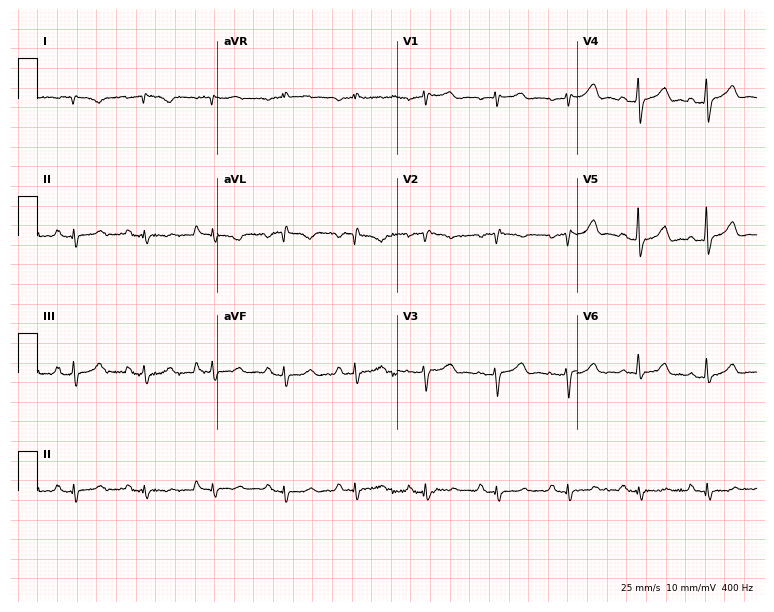
Standard 12-lead ECG recorded from a 74-year-old female. Read as a normal ECG.